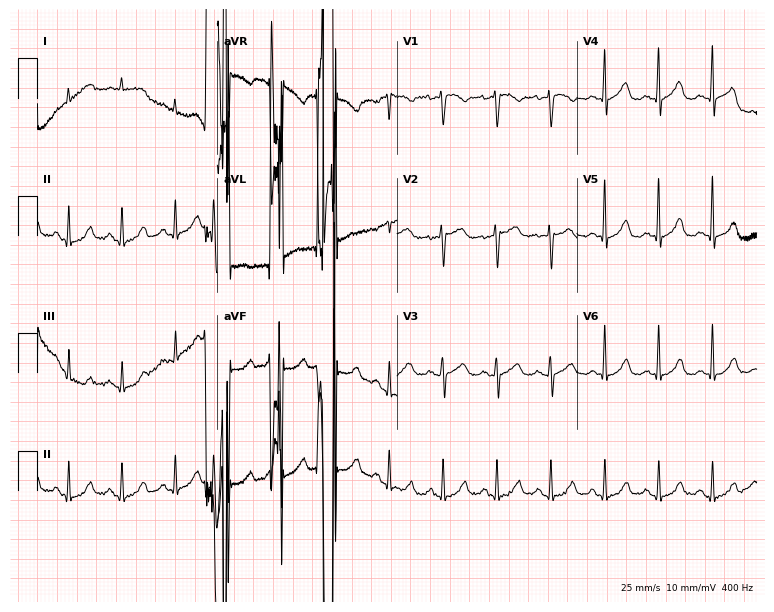
Resting 12-lead electrocardiogram. Patient: a woman, 62 years old. The tracing shows sinus tachycardia (a sinus rate of 100 beats per minute or more).